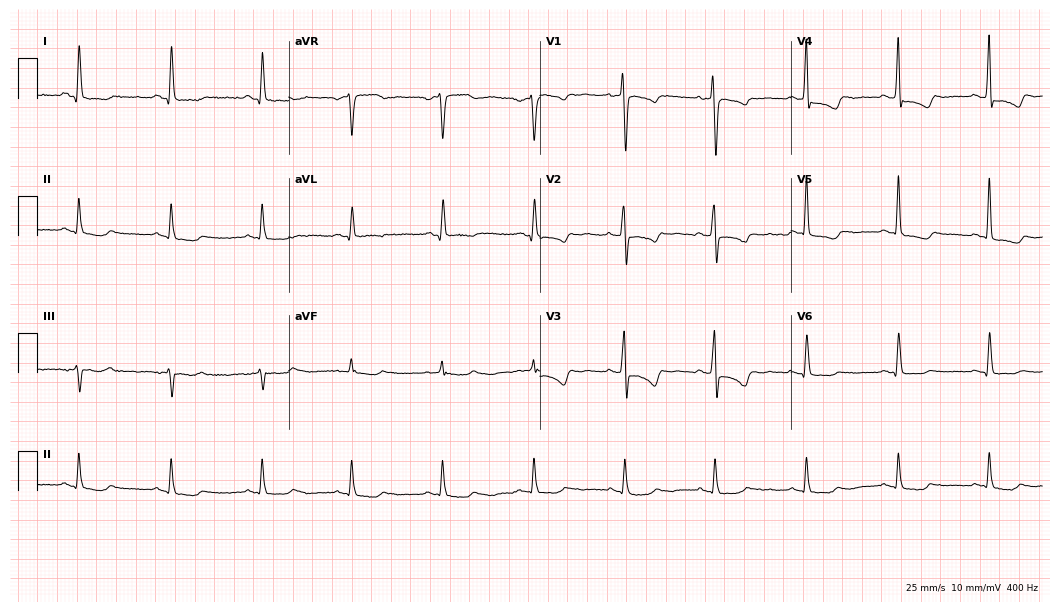
12-lead ECG (10.2-second recording at 400 Hz) from a 56-year-old female patient. Screened for six findings — first-degree AV block, right bundle branch block, left bundle branch block, sinus bradycardia, atrial fibrillation, sinus tachycardia — none is recorded.